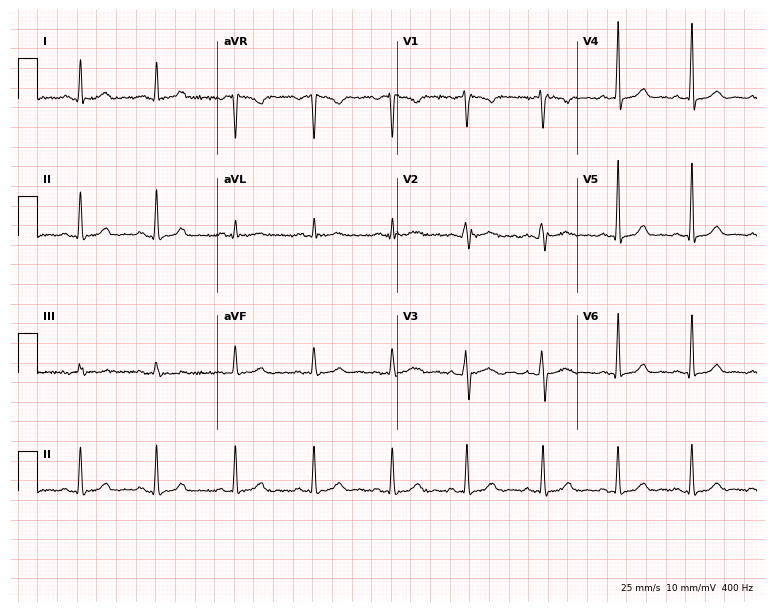
12-lead ECG from a female, 38 years old. Recorded interpretation: within normal limits.